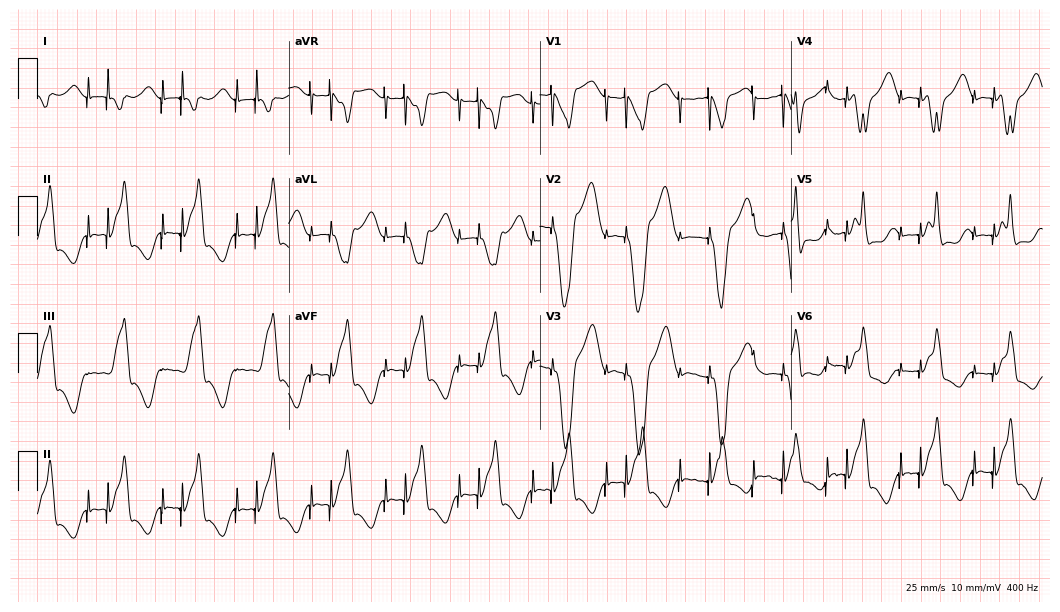
12-lead ECG from a 71-year-old female. No first-degree AV block, right bundle branch block (RBBB), left bundle branch block (LBBB), sinus bradycardia, atrial fibrillation (AF) or sinus tachycardia recorded for this tracing.